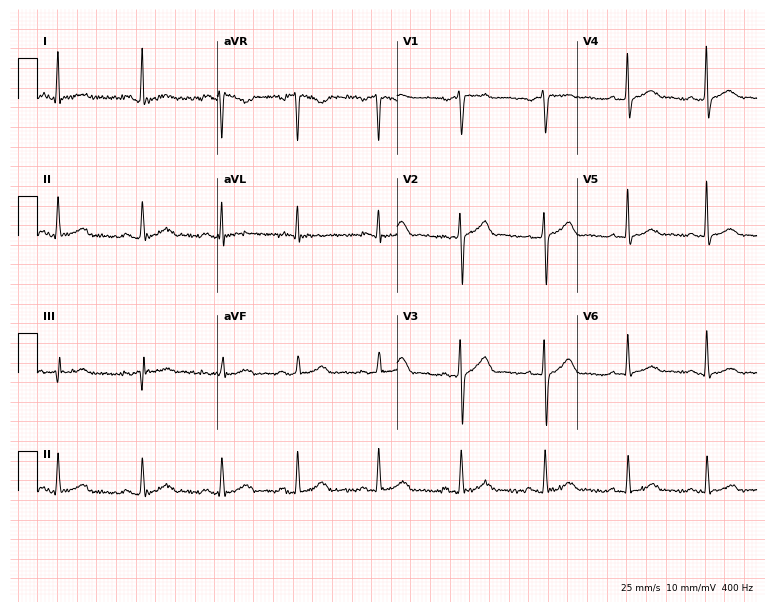
12-lead ECG from a male patient, 58 years old (7.3-second recording at 400 Hz). No first-degree AV block, right bundle branch block, left bundle branch block, sinus bradycardia, atrial fibrillation or sinus tachycardia recorded for this tracing.